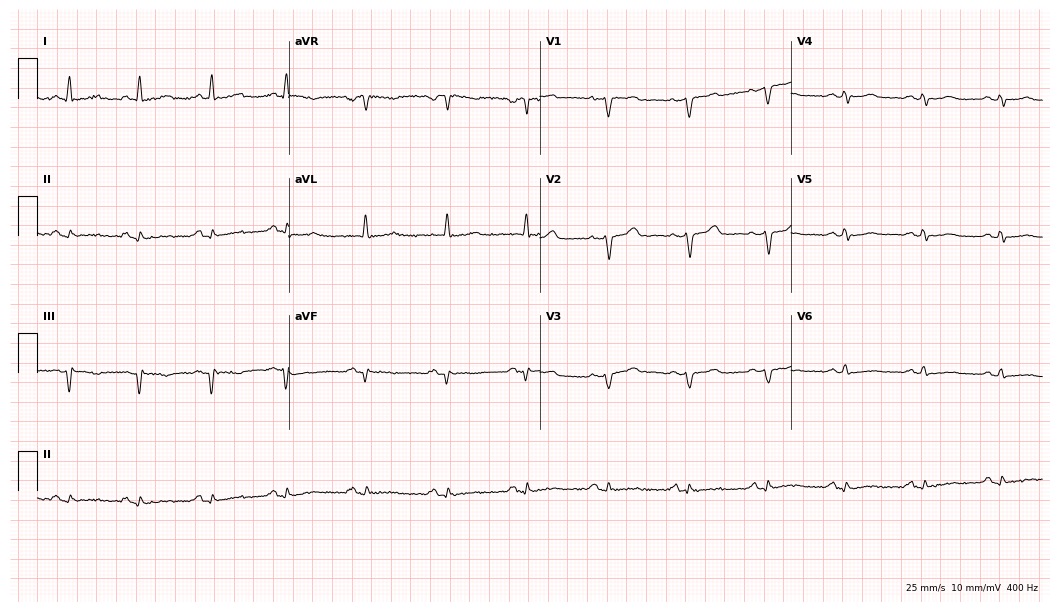
12-lead ECG from a 56-year-old woman. No first-degree AV block, right bundle branch block (RBBB), left bundle branch block (LBBB), sinus bradycardia, atrial fibrillation (AF) or sinus tachycardia recorded for this tracing.